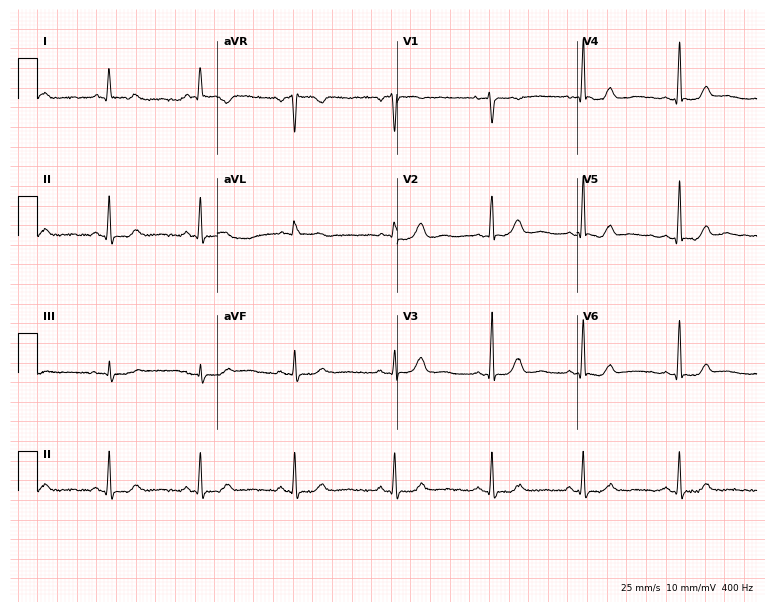
12-lead ECG from a woman, 31 years old. Recorded interpretation: within normal limits.